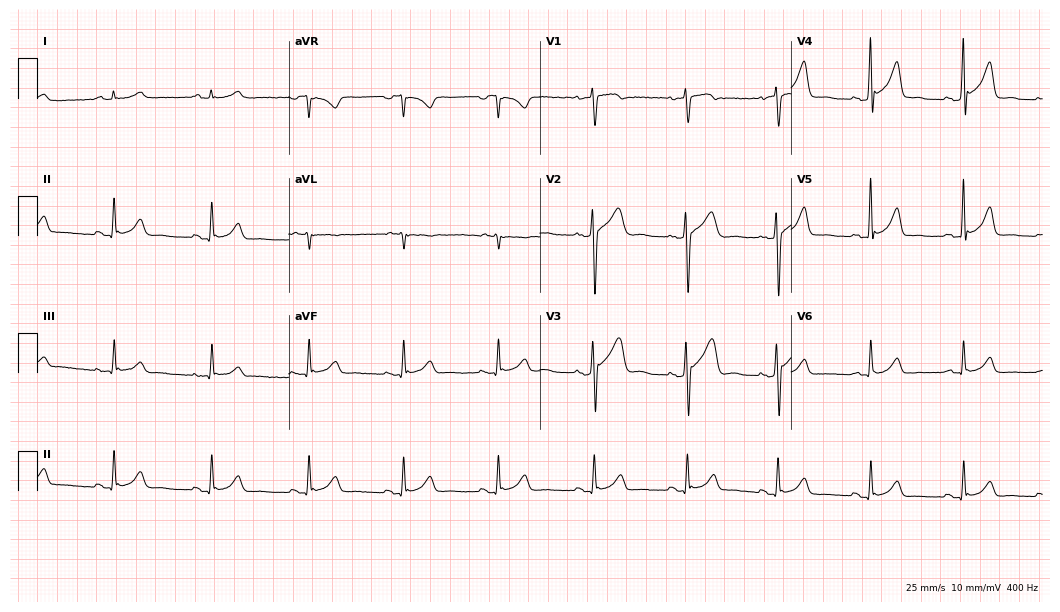
12-lead ECG from a 43-year-old man (10.2-second recording at 400 Hz). No first-degree AV block, right bundle branch block, left bundle branch block, sinus bradycardia, atrial fibrillation or sinus tachycardia recorded for this tracing.